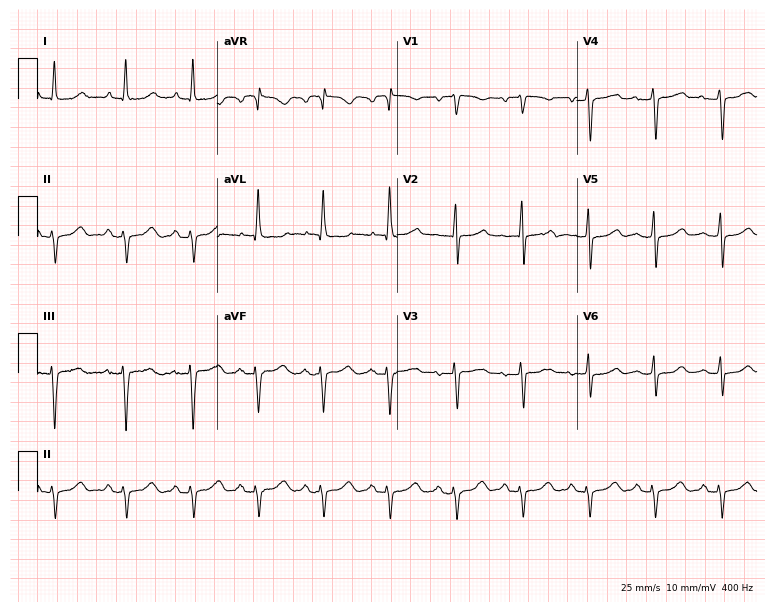
Resting 12-lead electrocardiogram (7.3-second recording at 400 Hz). Patient: a female, 63 years old. None of these six findings is recorded: first-degree AV block, right bundle branch block (RBBB), left bundle branch block (LBBB), sinus bradycardia, atrial fibrillation (AF), sinus tachycardia. Only these six findings were labelled.